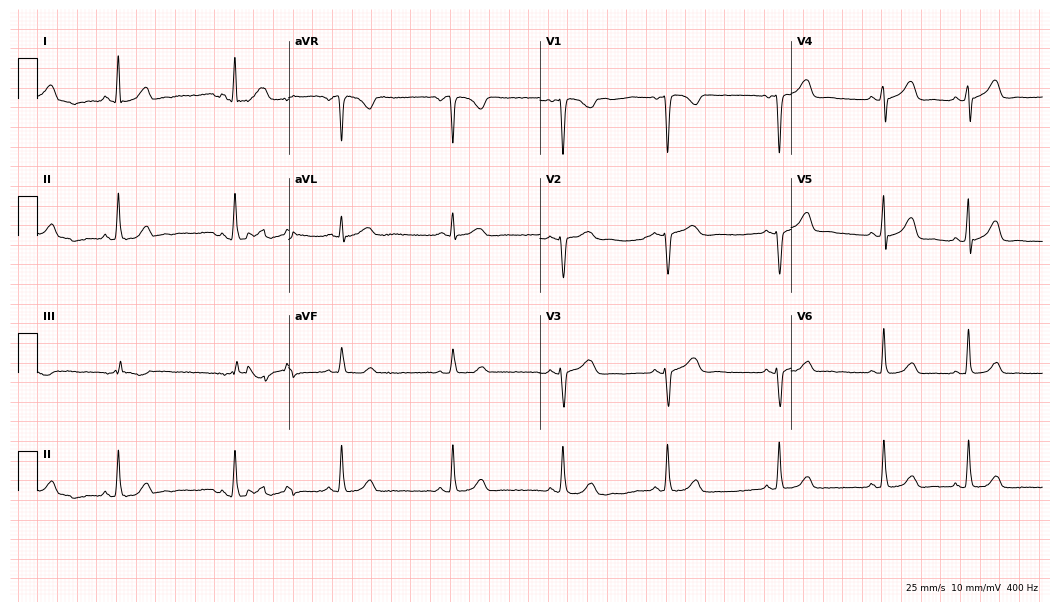
Resting 12-lead electrocardiogram (10.2-second recording at 400 Hz). Patient: a female, 34 years old. None of these six findings is recorded: first-degree AV block, right bundle branch block, left bundle branch block, sinus bradycardia, atrial fibrillation, sinus tachycardia. Findings outside these six are not listed.